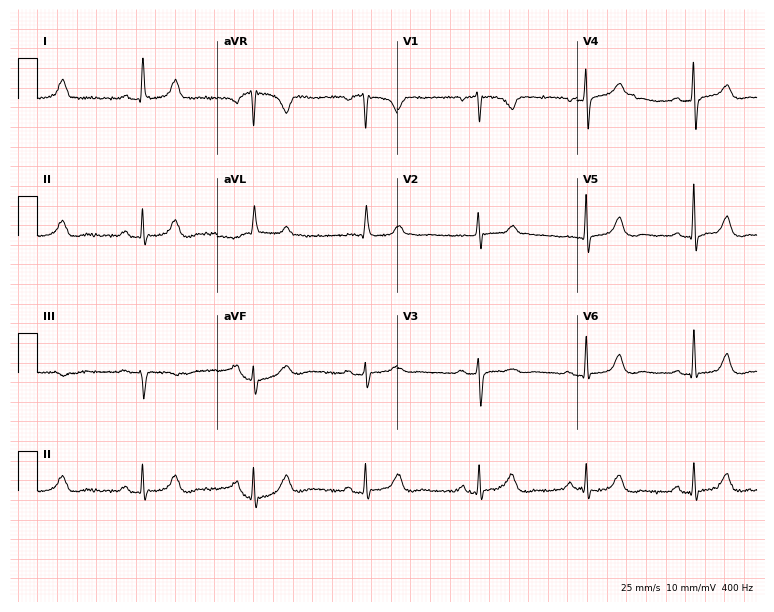
12-lead ECG (7.3-second recording at 400 Hz) from a 69-year-old female patient. Screened for six findings — first-degree AV block, right bundle branch block, left bundle branch block, sinus bradycardia, atrial fibrillation, sinus tachycardia — none is recorded.